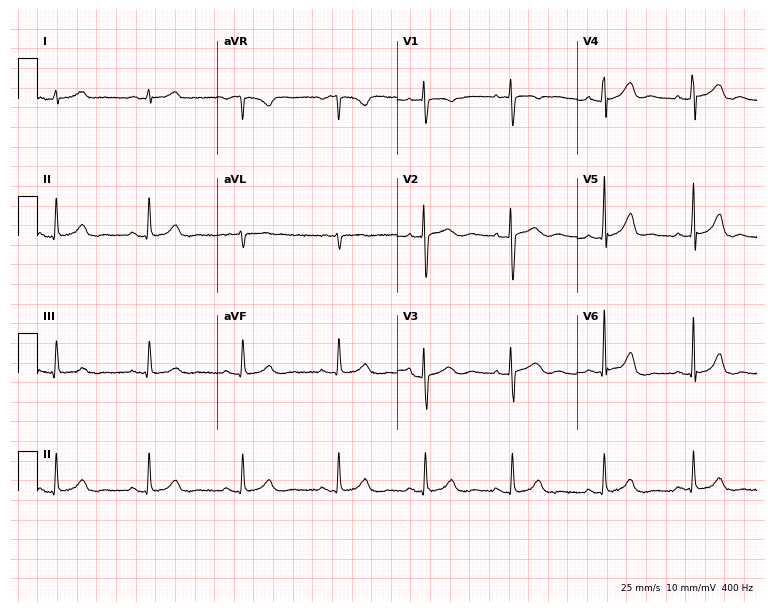
Electrocardiogram, a 28-year-old female patient. Of the six screened findings (first-degree AV block, right bundle branch block, left bundle branch block, sinus bradycardia, atrial fibrillation, sinus tachycardia), none is recorded.